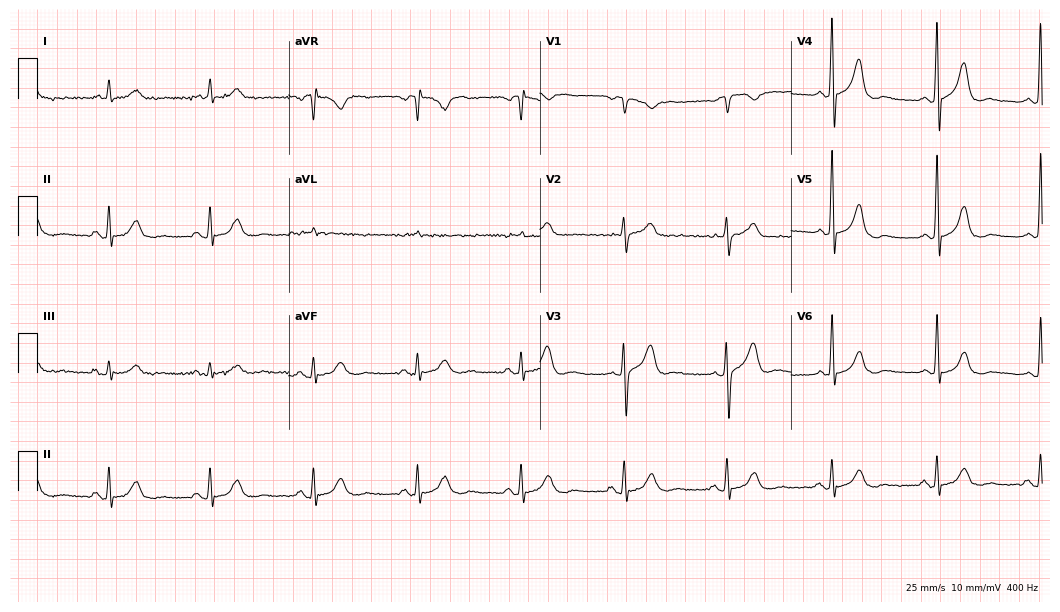
Electrocardiogram (10.2-second recording at 400 Hz), a male patient, 82 years old. Overall reading on record: normal ECG.